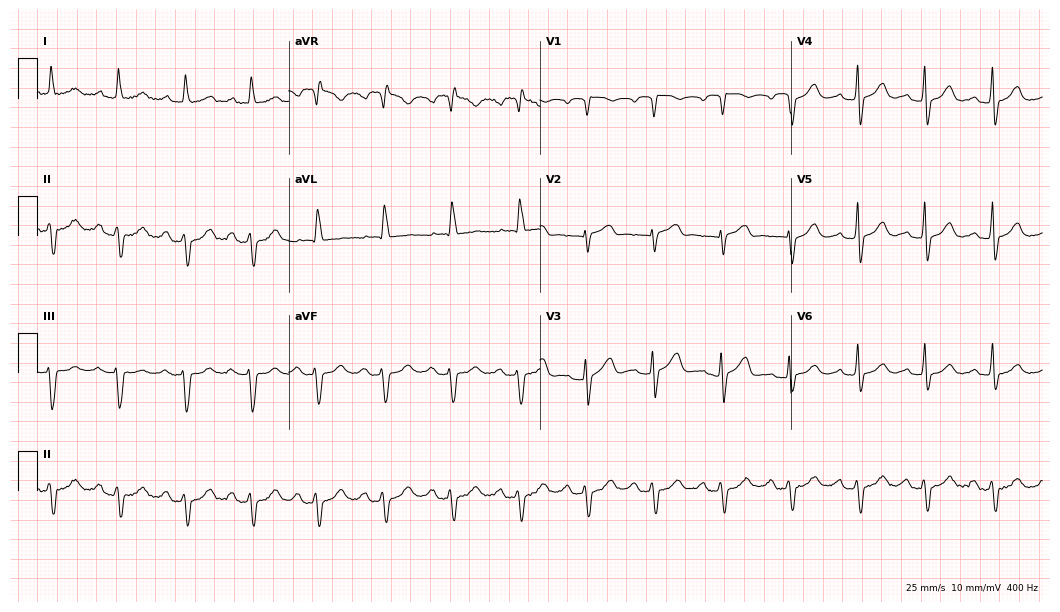
12-lead ECG from a female patient, 85 years old. No first-degree AV block, right bundle branch block, left bundle branch block, sinus bradycardia, atrial fibrillation or sinus tachycardia recorded for this tracing.